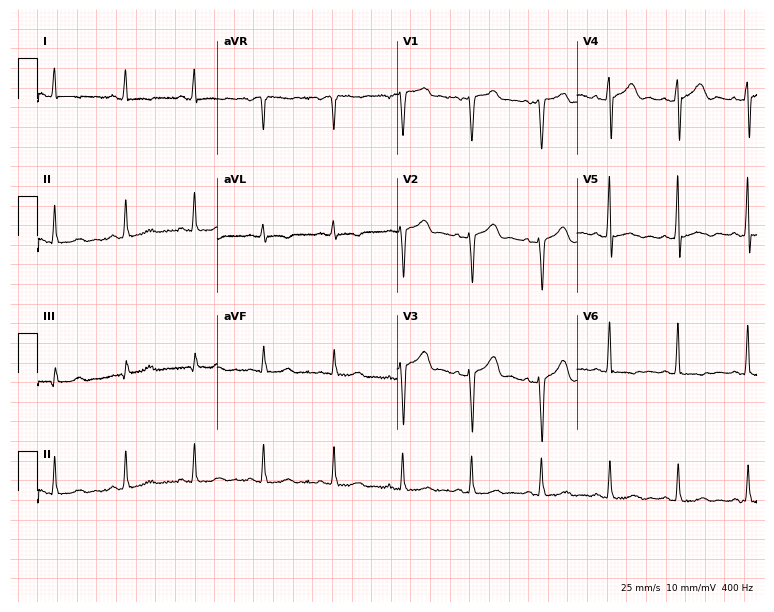
ECG — a 46-year-old female patient. Screened for six findings — first-degree AV block, right bundle branch block, left bundle branch block, sinus bradycardia, atrial fibrillation, sinus tachycardia — none is recorded.